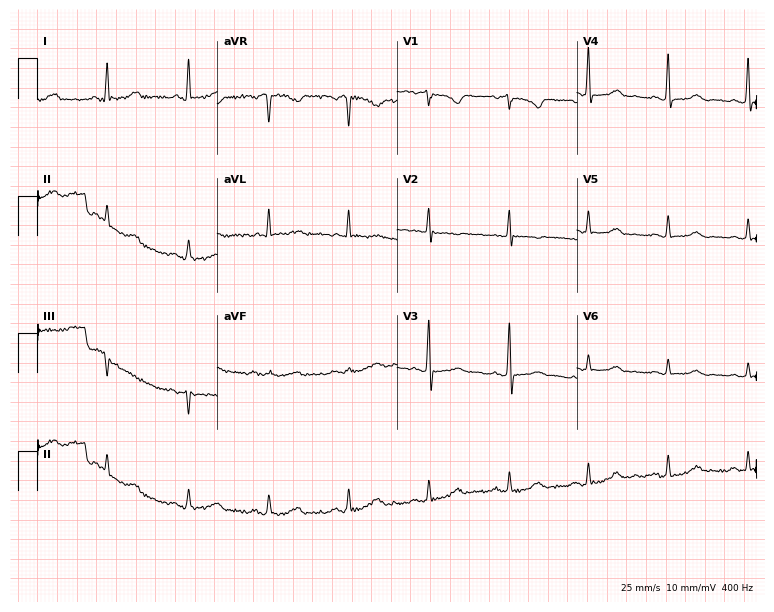
ECG (7.3-second recording at 400 Hz) — a woman, 71 years old. Screened for six findings — first-degree AV block, right bundle branch block, left bundle branch block, sinus bradycardia, atrial fibrillation, sinus tachycardia — none is recorded. Findings outside these six are not listed.